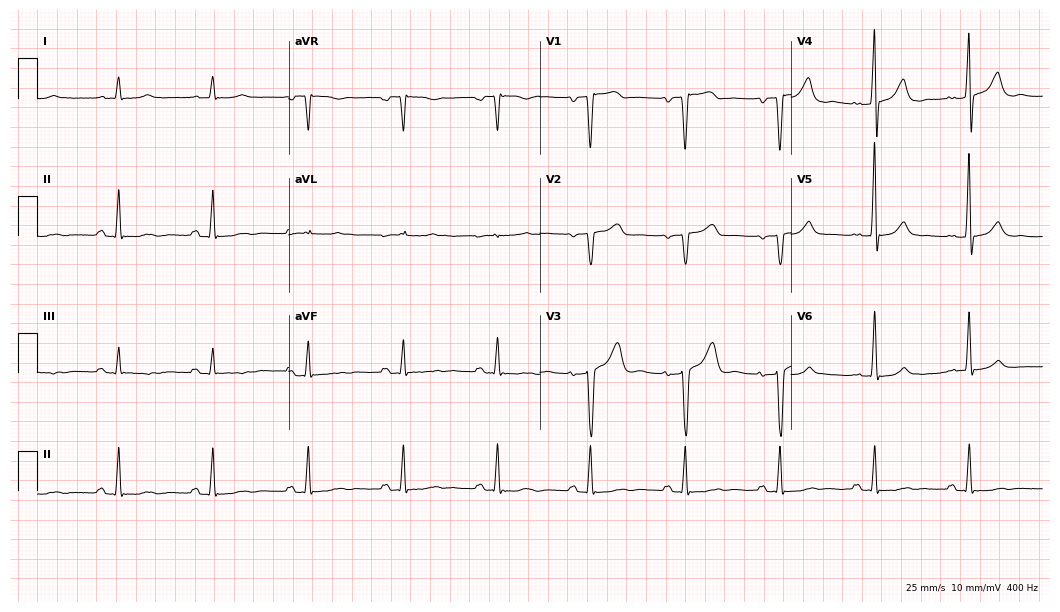
Resting 12-lead electrocardiogram. Patient: a 68-year-old male. None of these six findings is recorded: first-degree AV block, right bundle branch block, left bundle branch block, sinus bradycardia, atrial fibrillation, sinus tachycardia. Only these six findings were labelled.